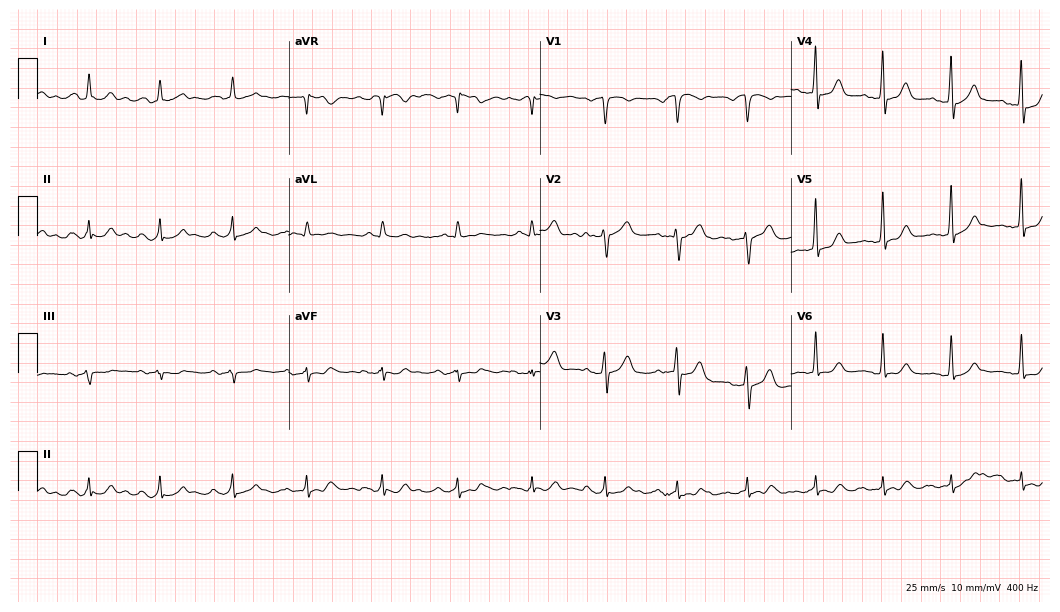
12-lead ECG from a male patient, 69 years old. Screened for six findings — first-degree AV block, right bundle branch block, left bundle branch block, sinus bradycardia, atrial fibrillation, sinus tachycardia — none is recorded.